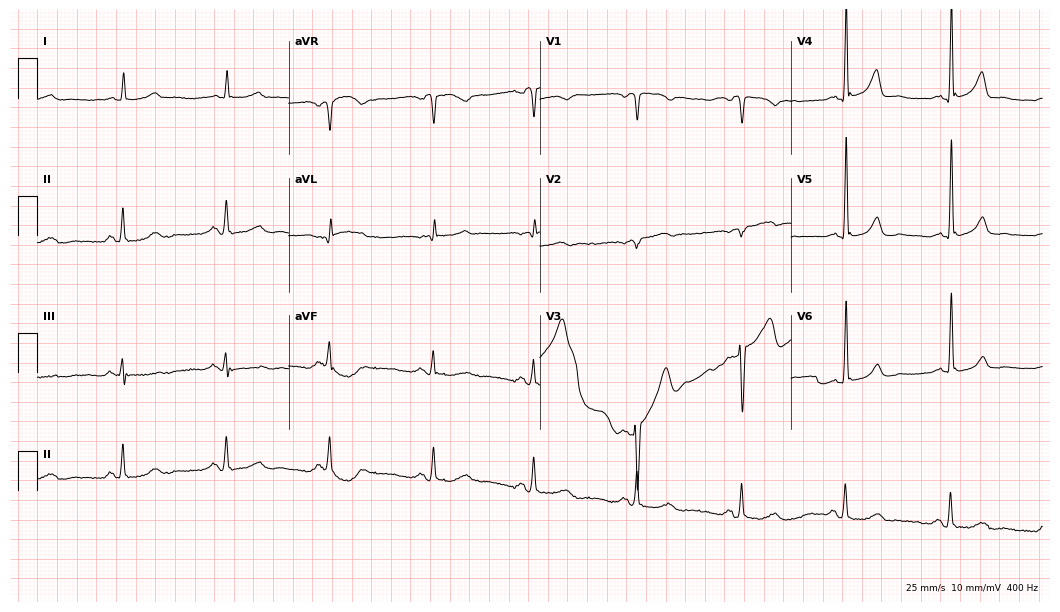
12-lead ECG from a male patient, 62 years old. Screened for six findings — first-degree AV block, right bundle branch block, left bundle branch block, sinus bradycardia, atrial fibrillation, sinus tachycardia — none is recorded. Findings outside these six are not listed.